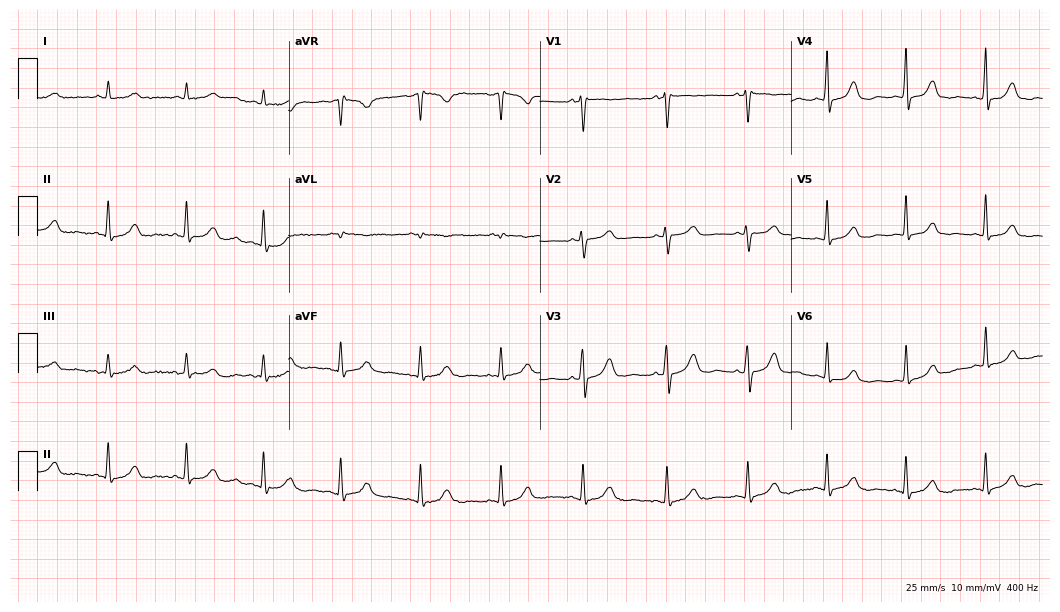
Resting 12-lead electrocardiogram (10.2-second recording at 400 Hz). Patient: a 70-year-old female. Read as a normal ECG.